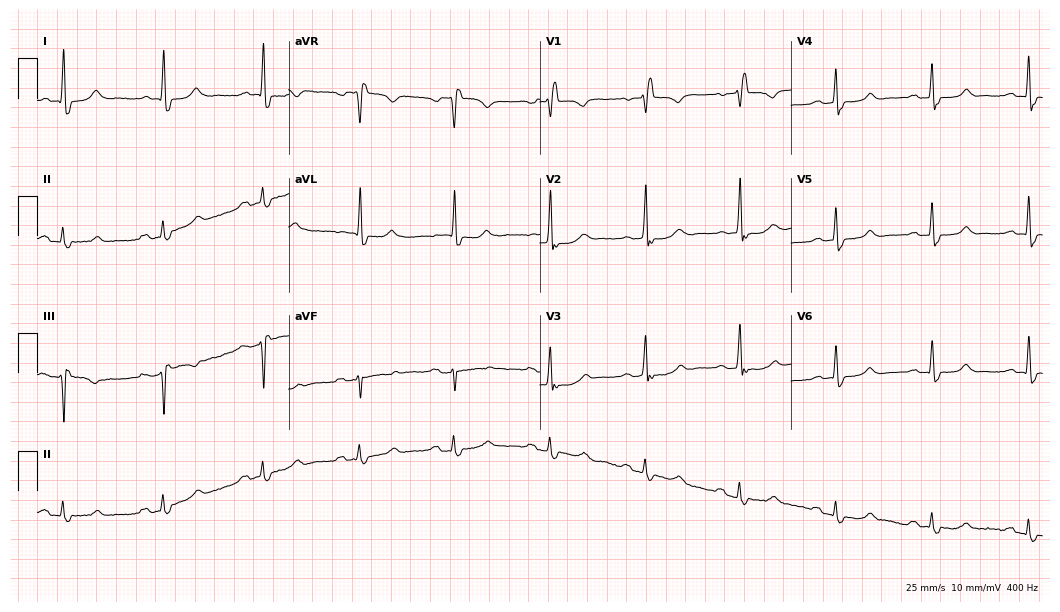
Electrocardiogram, an 80-year-old woman. Of the six screened findings (first-degree AV block, right bundle branch block, left bundle branch block, sinus bradycardia, atrial fibrillation, sinus tachycardia), none is recorded.